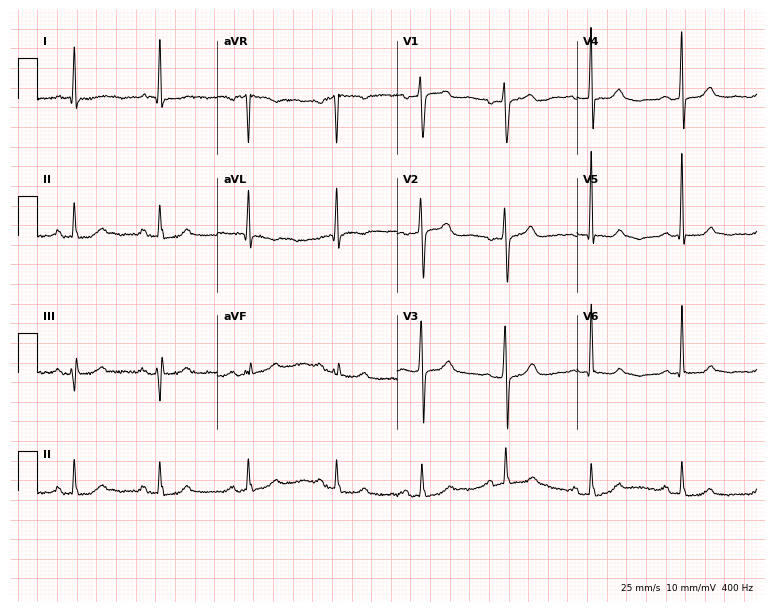
Electrocardiogram, a female patient, 64 years old. Of the six screened findings (first-degree AV block, right bundle branch block (RBBB), left bundle branch block (LBBB), sinus bradycardia, atrial fibrillation (AF), sinus tachycardia), none is recorded. Only these six findings were labelled.